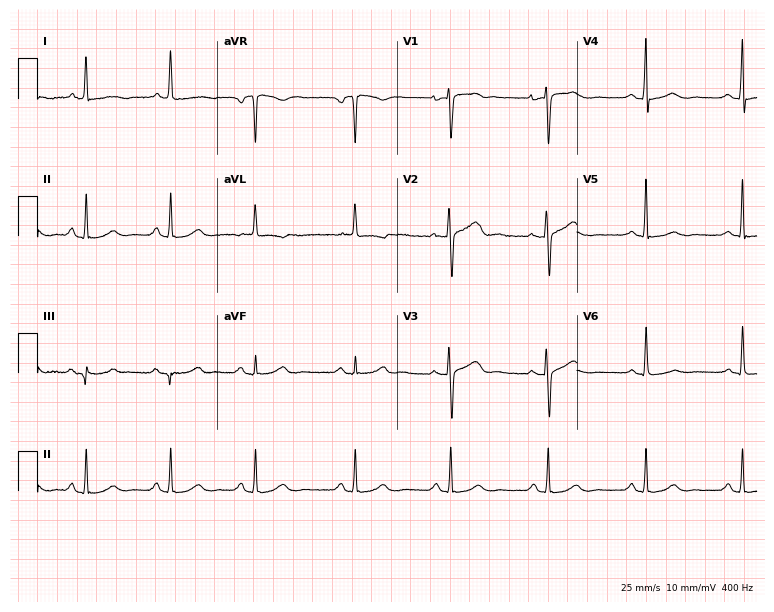
Resting 12-lead electrocardiogram. Patient: a 63-year-old female. None of these six findings is recorded: first-degree AV block, right bundle branch block, left bundle branch block, sinus bradycardia, atrial fibrillation, sinus tachycardia. Only these six findings were labelled.